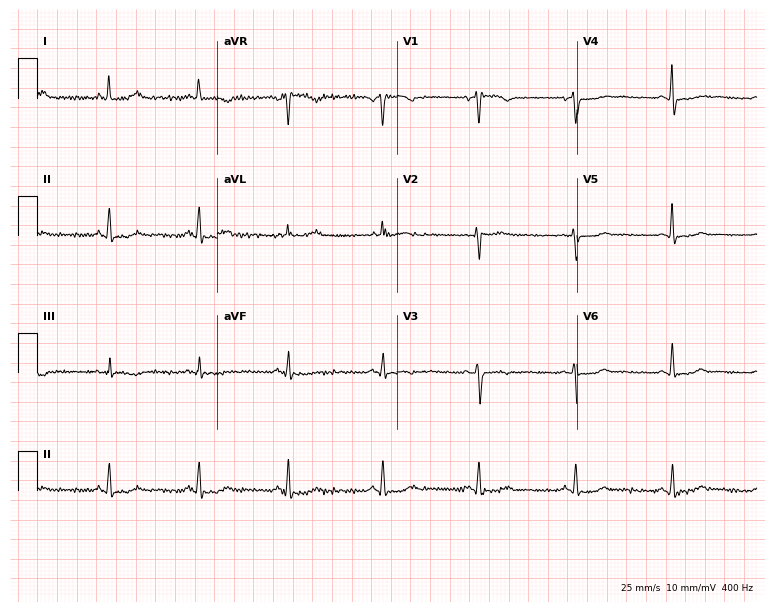
Resting 12-lead electrocardiogram. Patient: a female, 49 years old. None of these six findings is recorded: first-degree AV block, right bundle branch block, left bundle branch block, sinus bradycardia, atrial fibrillation, sinus tachycardia.